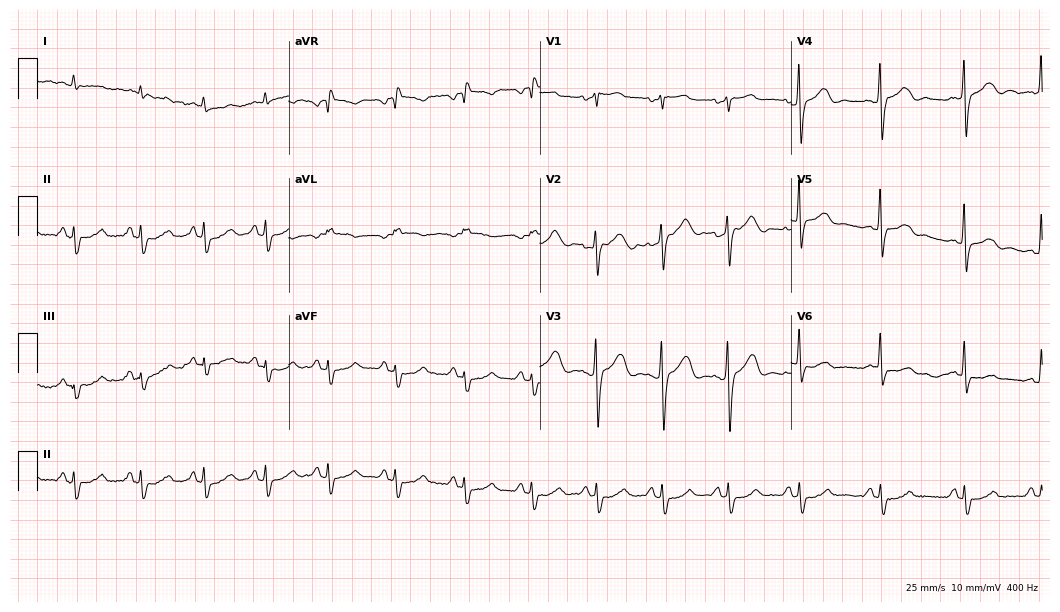
Standard 12-lead ECG recorded from a male patient, 59 years old (10.2-second recording at 400 Hz). None of these six findings is recorded: first-degree AV block, right bundle branch block (RBBB), left bundle branch block (LBBB), sinus bradycardia, atrial fibrillation (AF), sinus tachycardia. Other findings, if any, are not listed.